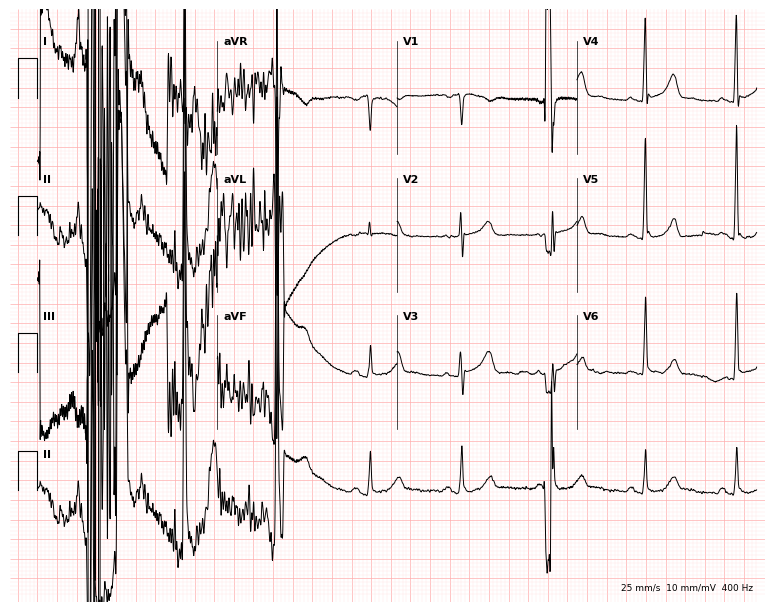
Resting 12-lead electrocardiogram. Patient: a female, 78 years old. None of these six findings is recorded: first-degree AV block, right bundle branch block, left bundle branch block, sinus bradycardia, atrial fibrillation, sinus tachycardia. Only these six findings were labelled.